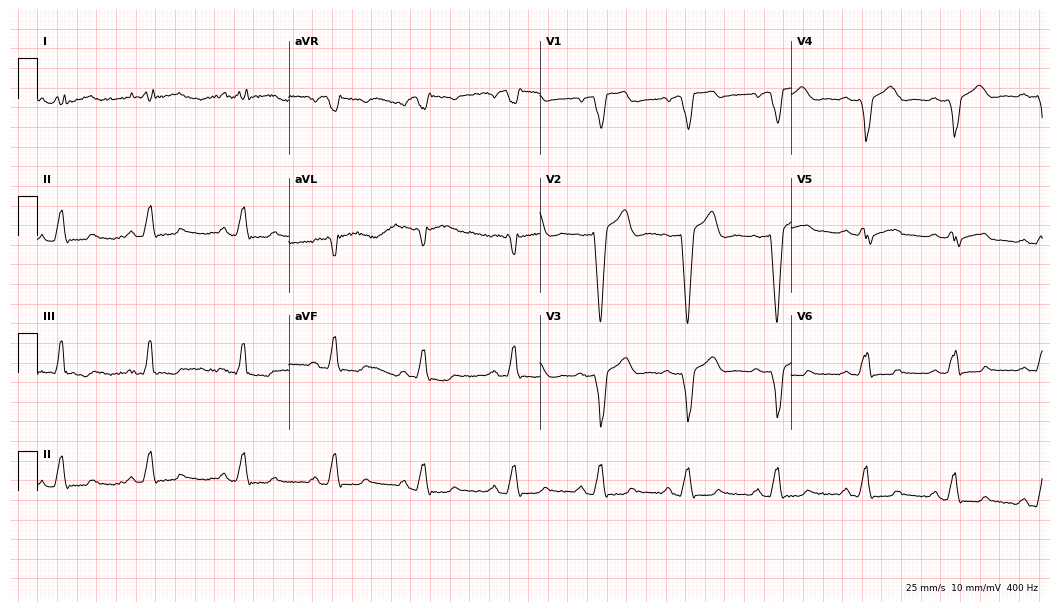
ECG (10.2-second recording at 400 Hz) — a female, 43 years old. Screened for six findings — first-degree AV block, right bundle branch block, left bundle branch block, sinus bradycardia, atrial fibrillation, sinus tachycardia — none is recorded.